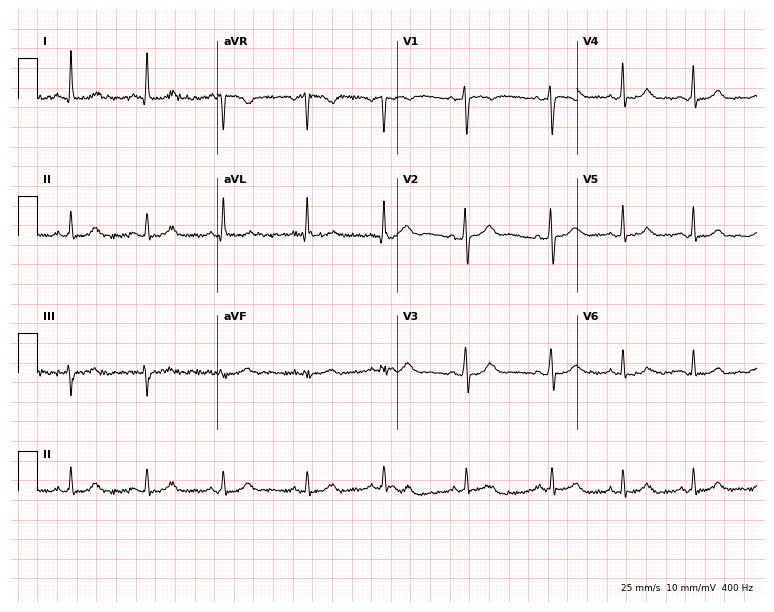
ECG (7.3-second recording at 400 Hz) — a 27-year-old female. Screened for six findings — first-degree AV block, right bundle branch block (RBBB), left bundle branch block (LBBB), sinus bradycardia, atrial fibrillation (AF), sinus tachycardia — none is recorded.